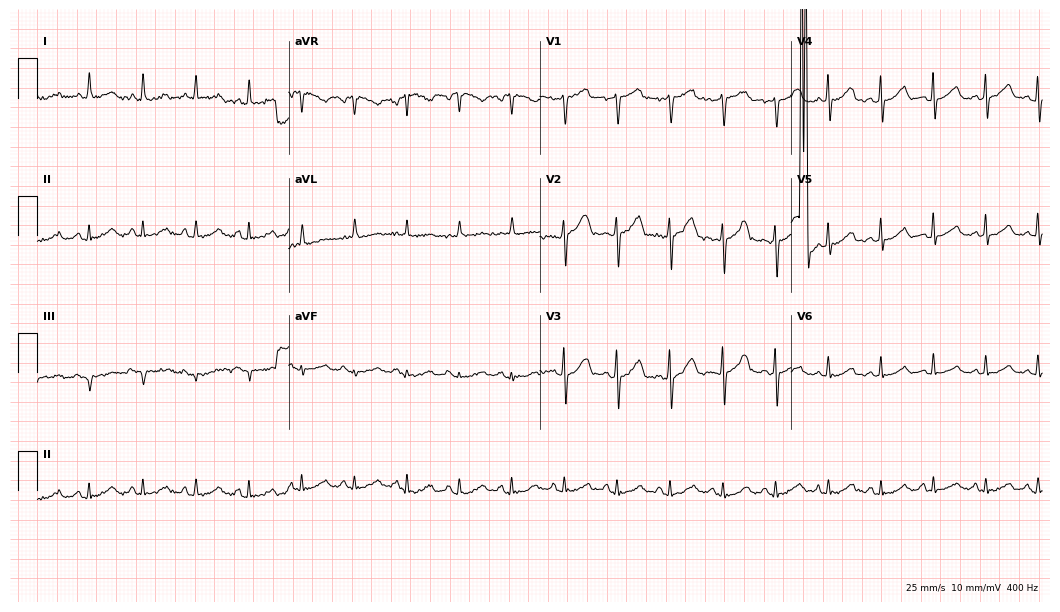
Resting 12-lead electrocardiogram (10.2-second recording at 400 Hz). Patient: a female, 62 years old. The tracing shows sinus tachycardia (a sinus rate of 100 beats per minute or more).